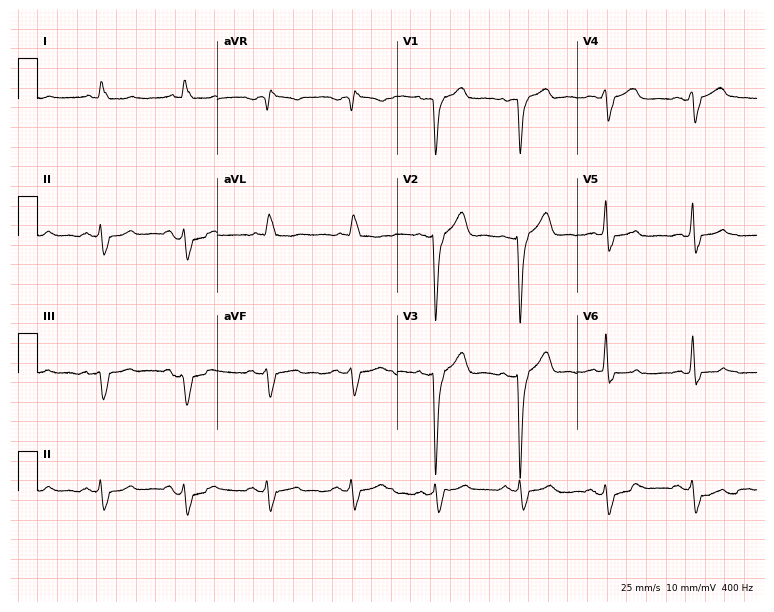
12-lead ECG from a male patient, 77 years old. No first-degree AV block, right bundle branch block, left bundle branch block, sinus bradycardia, atrial fibrillation or sinus tachycardia recorded for this tracing.